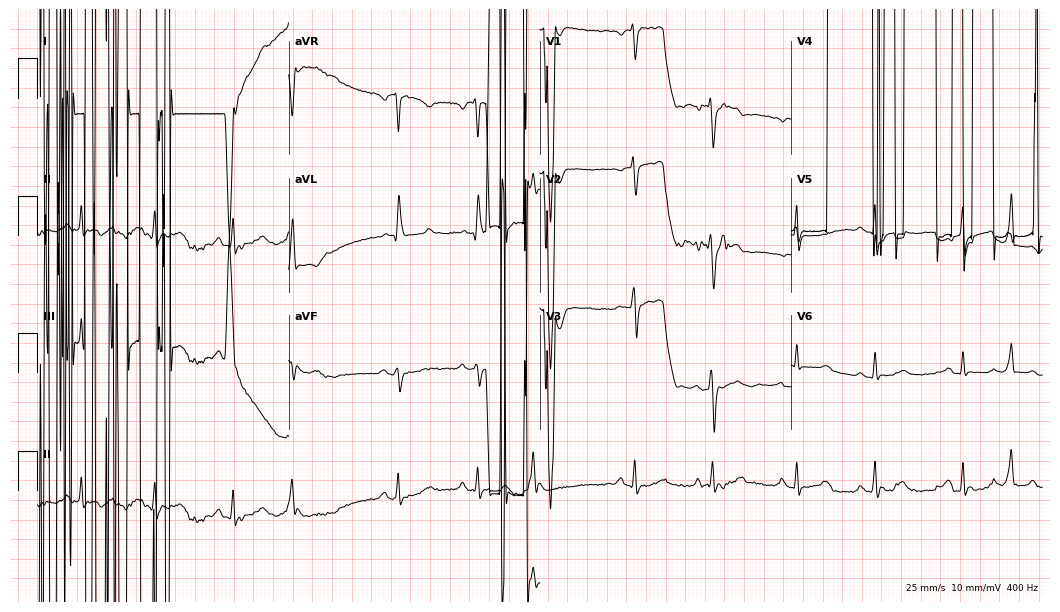
Standard 12-lead ECG recorded from a 67-year-old female patient. None of these six findings is recorded: first-degree AV block, right bundle branch block, left bundle branch block, sinus bradycardia, atrial fibrillation, sinus tachycardia.